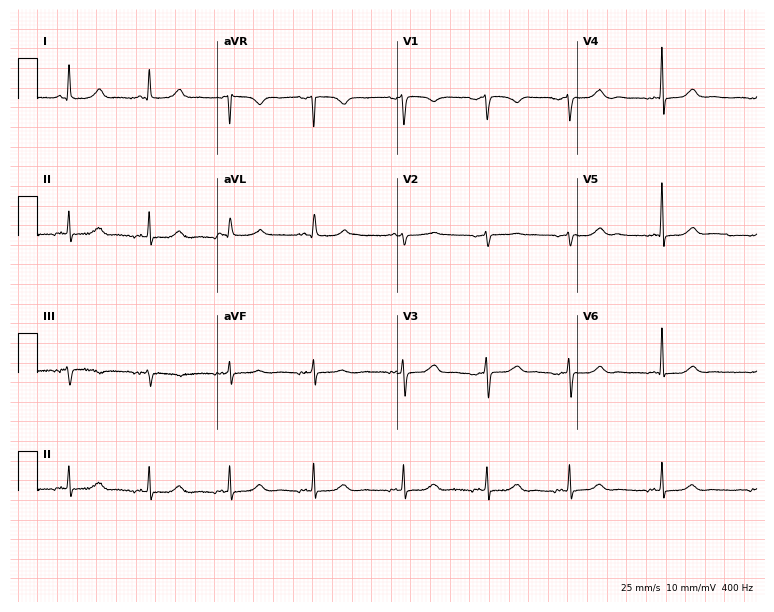
12-lead ECG from a 66-year-old female. Recorded interpretation: within normal limits.